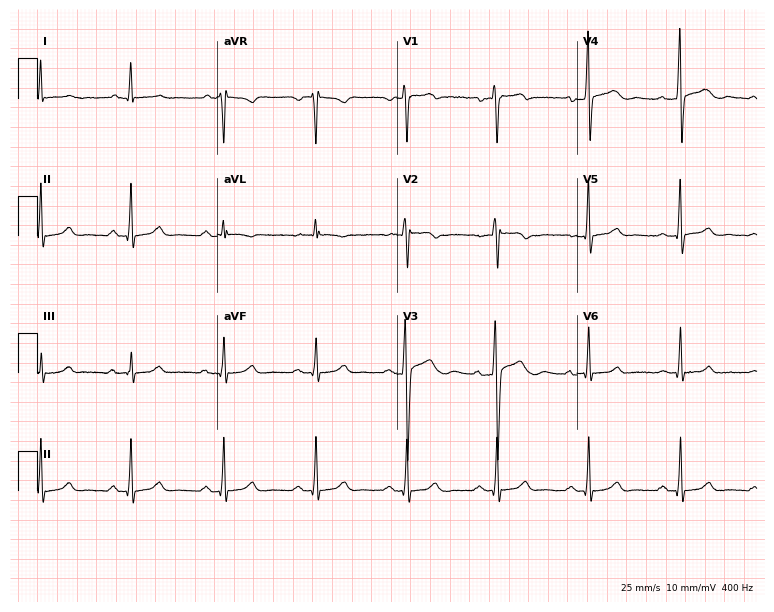
Standard 12-lead ECG recorded from a 49-year-old male. Read as a normal ECG.